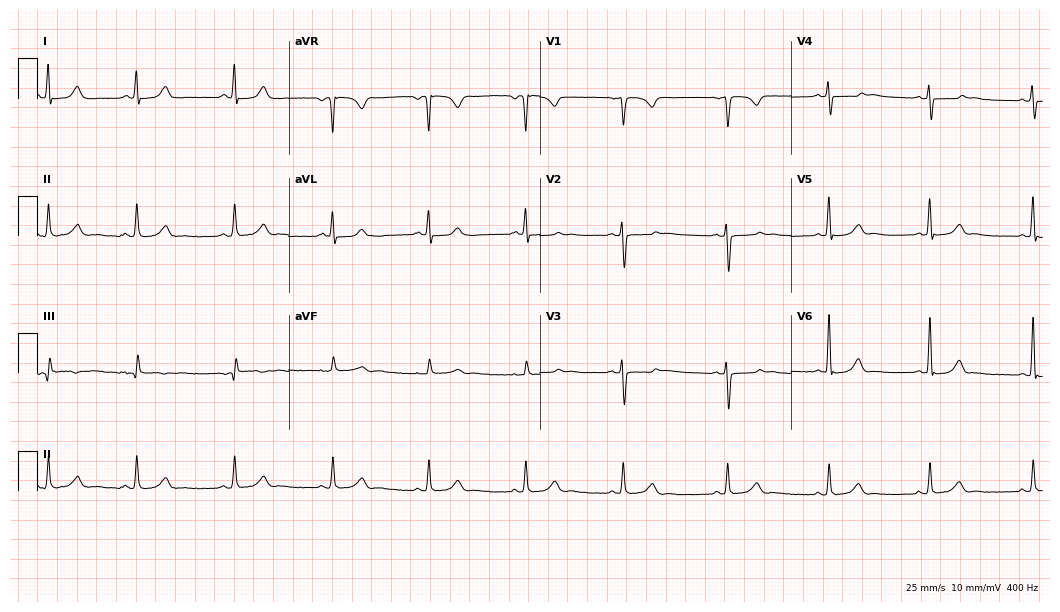
ECG — a 22-year-old woman. Labelled as a normal ECG.